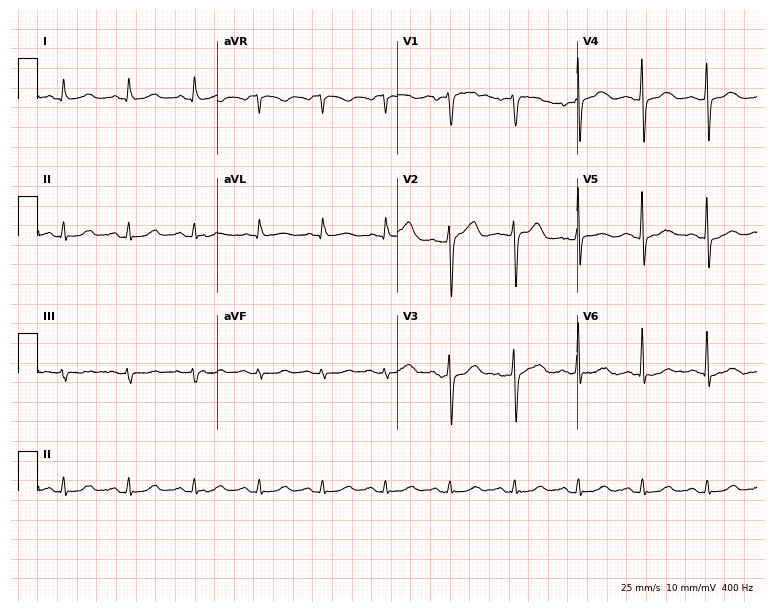
Resting 12-lead electrocardiogram (7.3-second recording at 400 Hz). Patient: a 64-year-old man. None of these six findings is recorded: first-degree AV block, right bundle branch block (RBBB), left bundle branch block (LBBB), sinus bradycardia, atrial fibrillation (AF), sinus tachycardia.